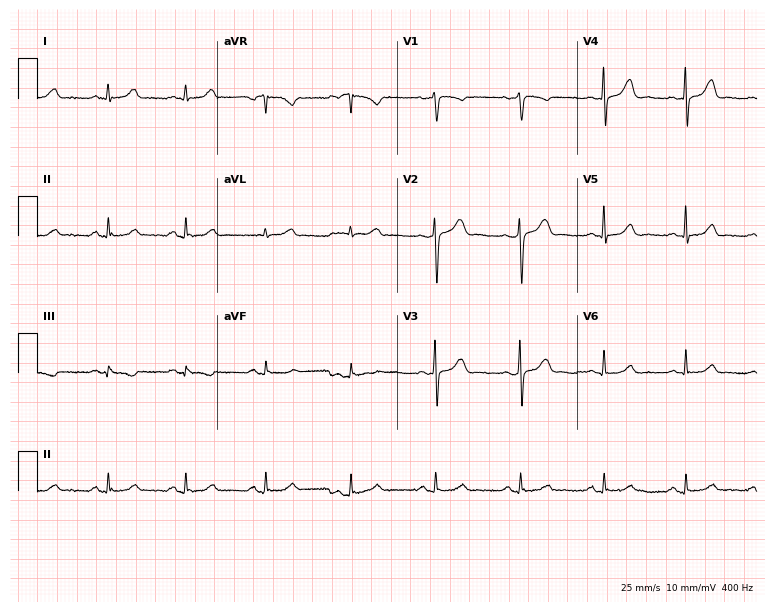
ECG — a 41-year-old woman. Screened for six findings — first-degree AV block, right bundle branch block (RBBB), left bundle branch block (LBBB), sinus bradycardia, atrial fibrillation (AF), sinus tachycardia — none is recorded.